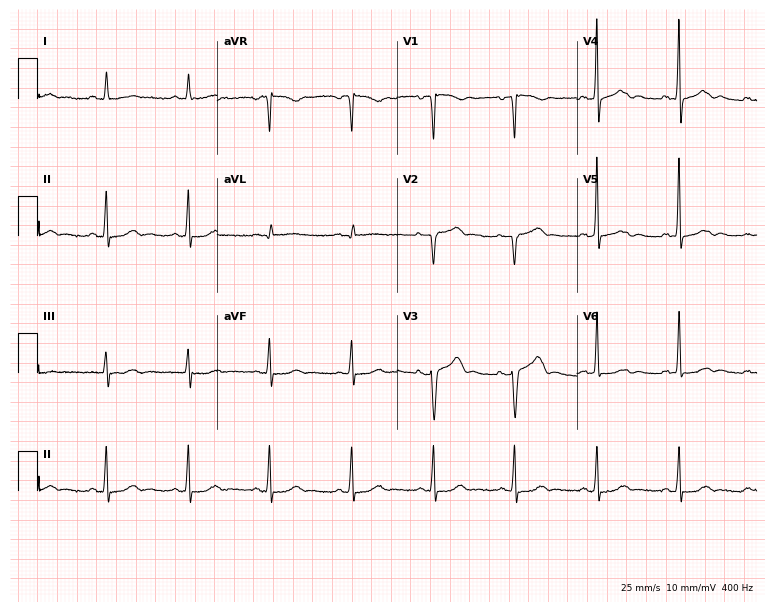
12-lead ECG from a male patient, 78 years old (7.3-second recording at 400 Hz). No first-degree AV block, right bundle branch block, left bundle branch block, sinus bradycardia, atrial fibrillation or sinus tachycardia recorded for this tracing. Findings outside these six are not listed.